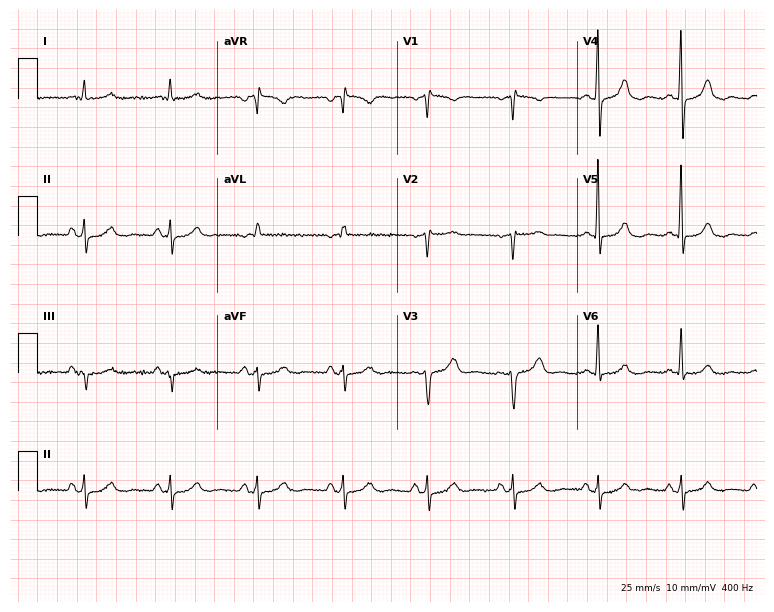
12-lead ECG from a 61-year-old female patient (7.3-second recording at 400 Hz). No first-degree AV block, right bundle branch block (RBBB), left bundle branch block (LBBB), sinus bradycardia, atrial fibrillation (AF) or sinus tachycardia recorded for this tracing. Other findings, if any, are not listed.